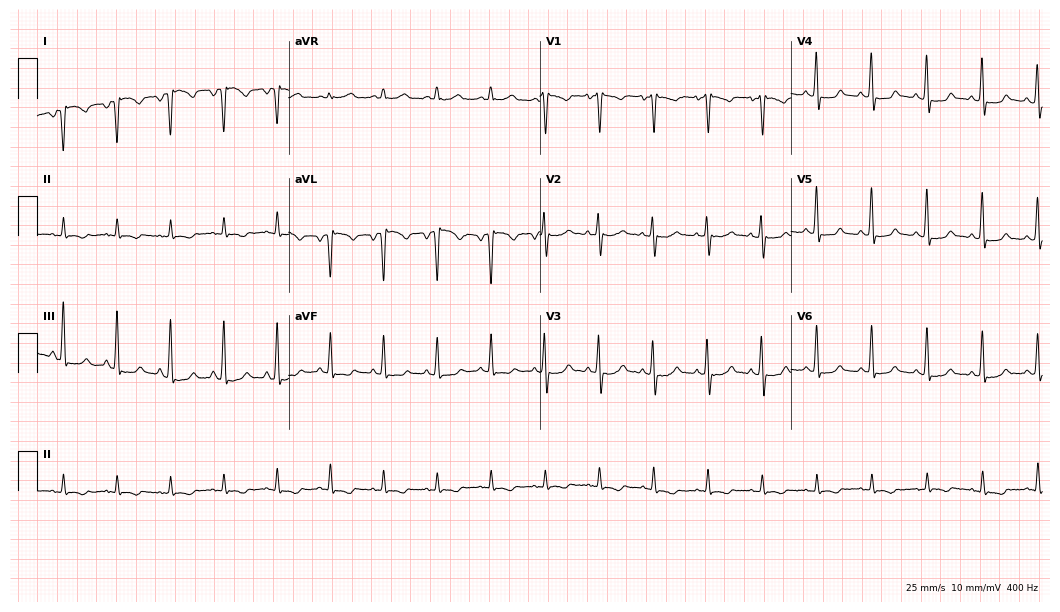
12-lead ECG from a 31-year-old female. No first-degree AV block, right bundle branch block, left bundle branch block, sinus bradycardia, atrial fibrillation or sinus tachycardia recorded for this tracing.